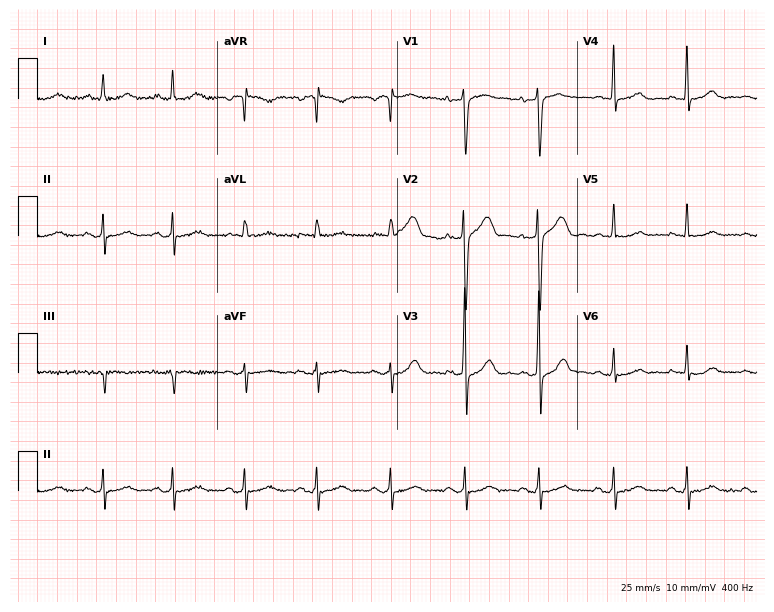
ECG (7.3-second recording at 400 Hz) — a 67-year-old male. Screened for six findings — first-degree AV block, right bundle branch block (RBBB), left bundle branch block (LBBB), sinus bradycardia, atrial fibrillation (AF), sinus tachycardia — none is recorded. Only these six findings were labelled.